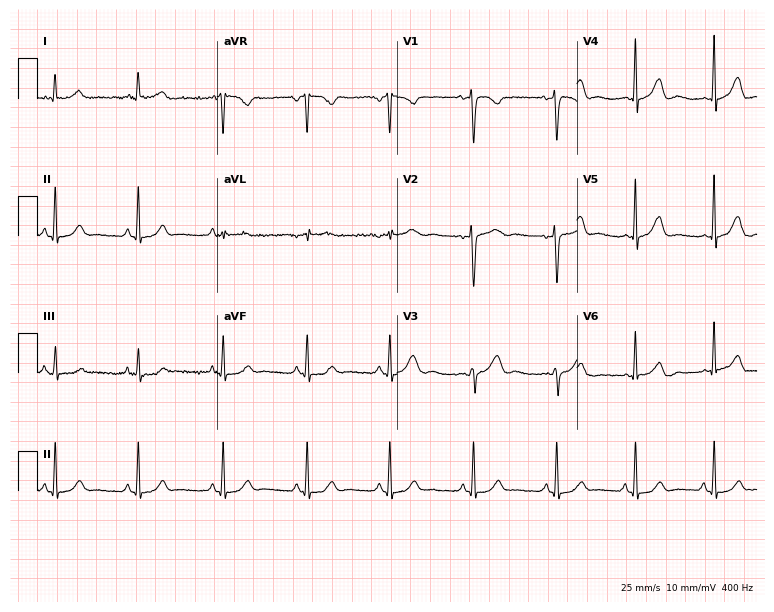
12-lead ECG from a female, 39 years old. Screened for six findings — first-degree AV block, right bundle branch block, left bundle branch block, sinus bradycardia, atrial fibrillation, sinus tachycardia — none is recorded. Only these six findings were labelled.